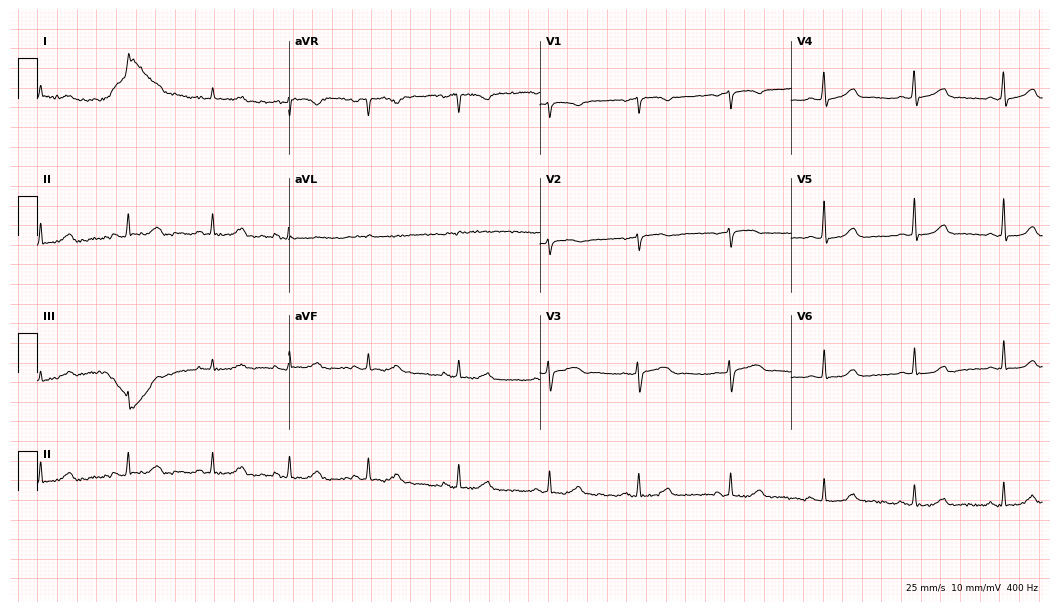
12-lead ECG (10.2-second recording at 400 Hz) from a female patient, 51 years old. Labelled as a normal ECG.